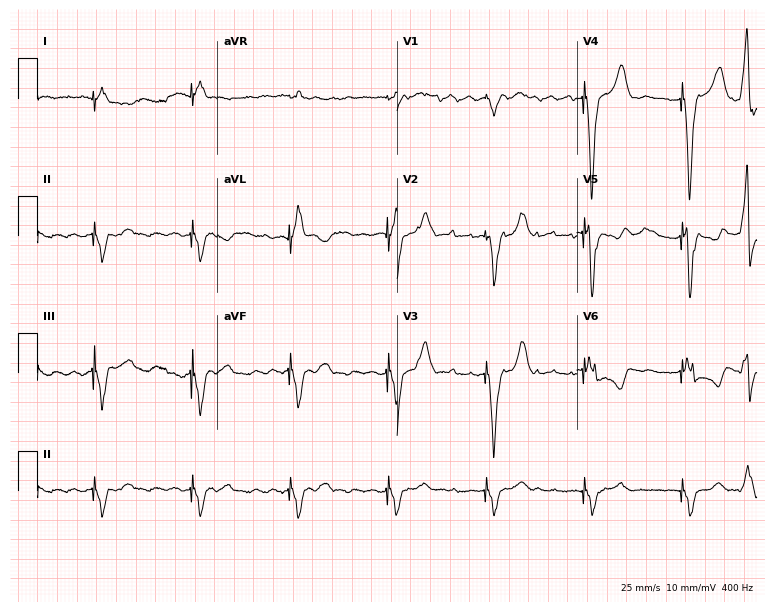
Resting 12-lead electrocardiogram (7.3-second recording at 400 Hz). Patient: a man, 84 years old. None of these six findings is recorded: first-degree AV block, right bundle branch block, left bundle branch block, sinus bradycardia, atrial fibrillation, sinus tachycardia. Only these six findings were labelled.